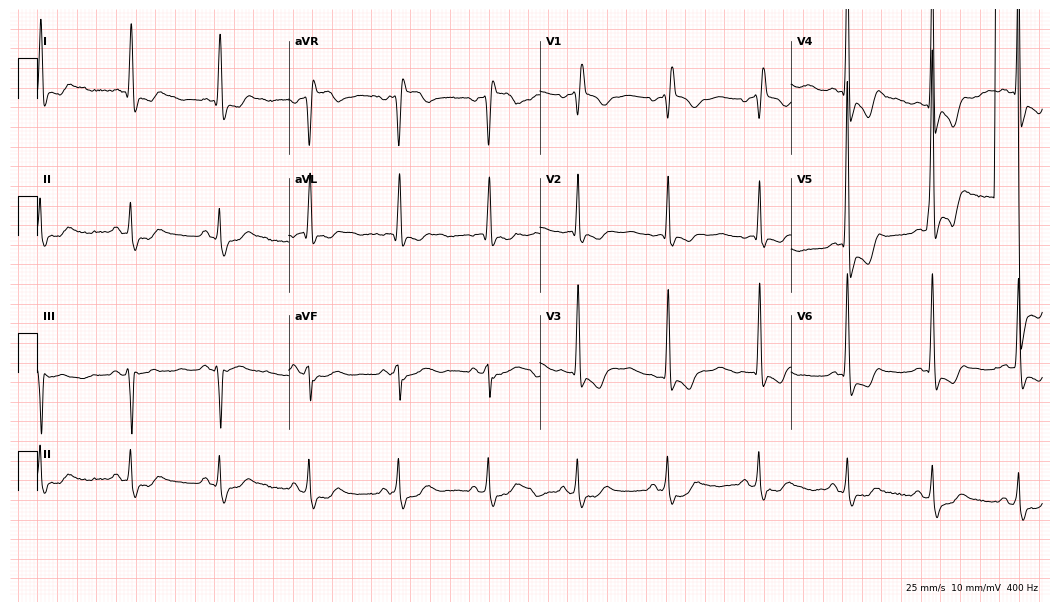
Resting 12-lead electrocardiogram. Patient: a woman, 80 years old. The tracing shows right bundle branch block.